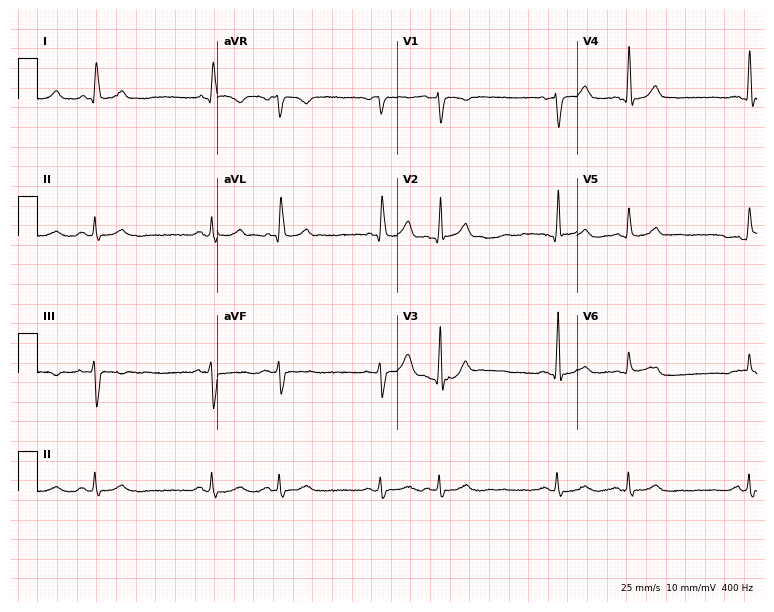
12-lead ECG from a 79-year-old male patient. No first-degree AV block, right bundle branch block, left bundle branch block, sinus bradycardia, atrial fibrillation or sinus tachycardia recorded for this tracing. Findings outside these six are not listed.